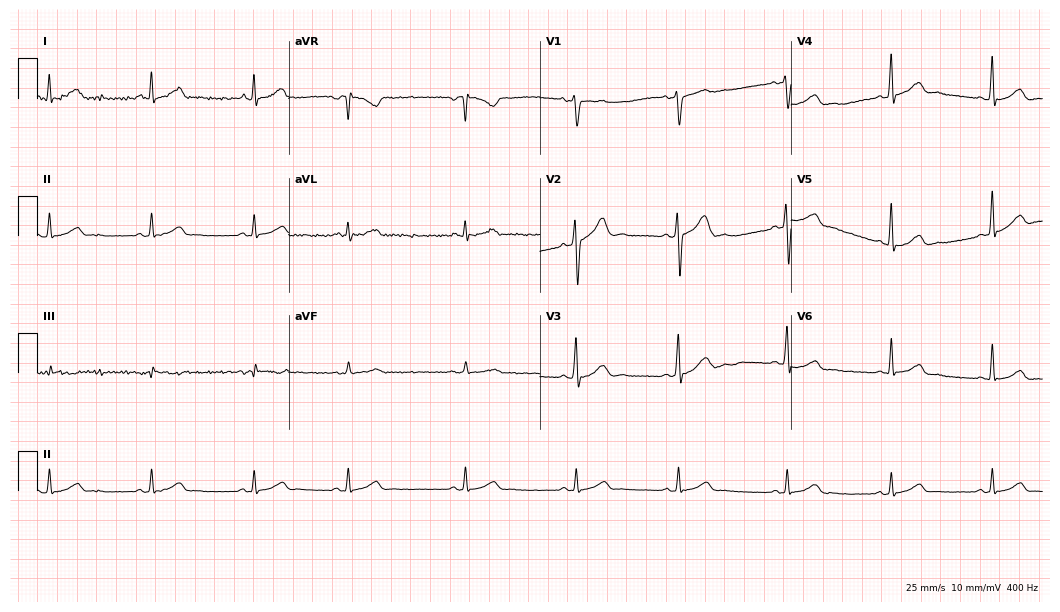
12-lead ECG from a male patient, 34 years old. Recorded interpretation: within normal limits.